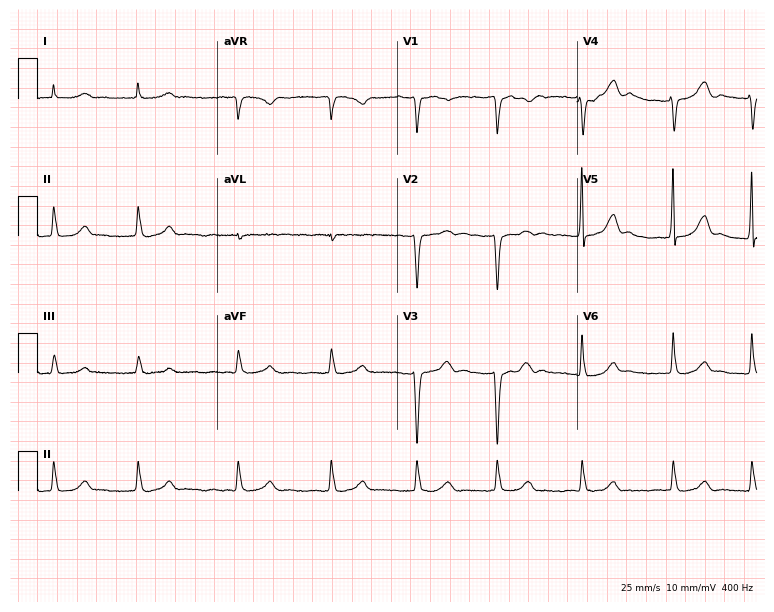
Standard 12-lead ECG recorded from an 82-year-old woman (7.3-second recording at 400 Hz). The tracing shows atrial fibrillation.